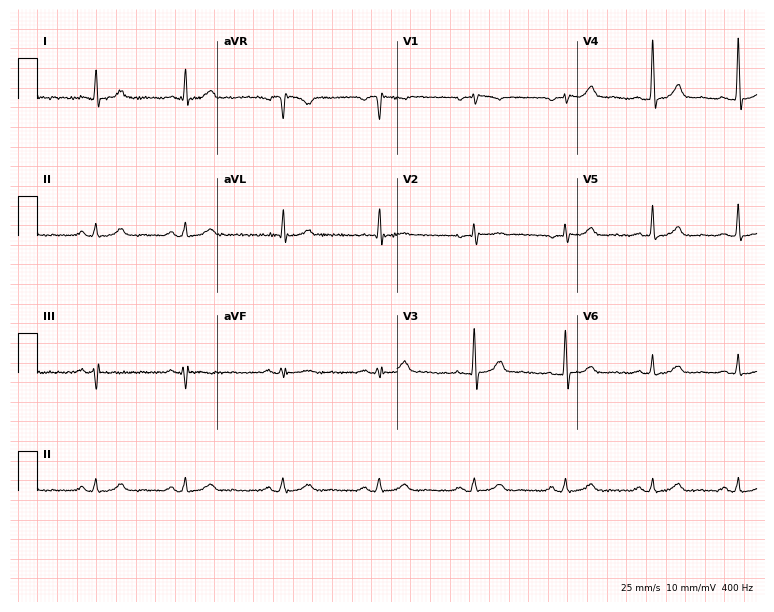
Standard 12-lead ECG recorded from a male, 58 years old. Read as a normal ECG.